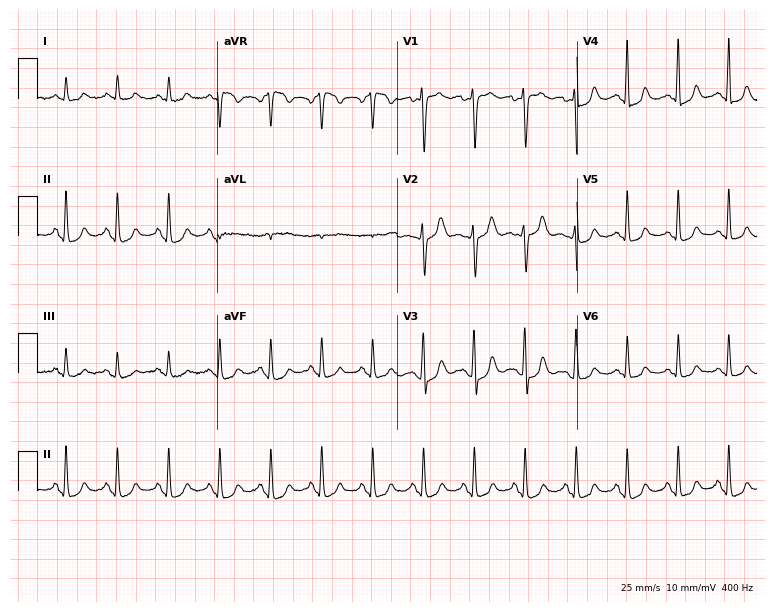
12-lead ECG from a 70-year-old female. Findings include sinus tachycardia (a sinus rate of 100 beats per minute or more).